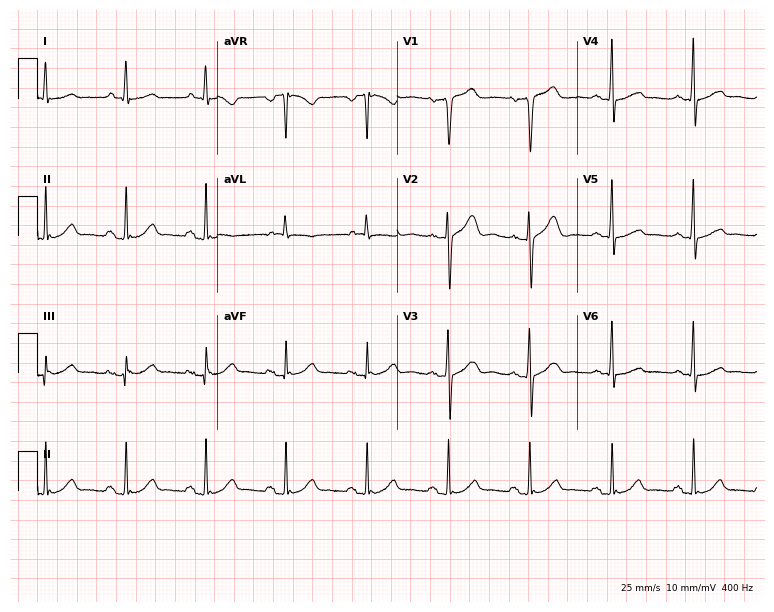
12-lead ECG (7.3-second recording at 400 Hz) from a female, 72 years old. Labelled as a normal ECG.